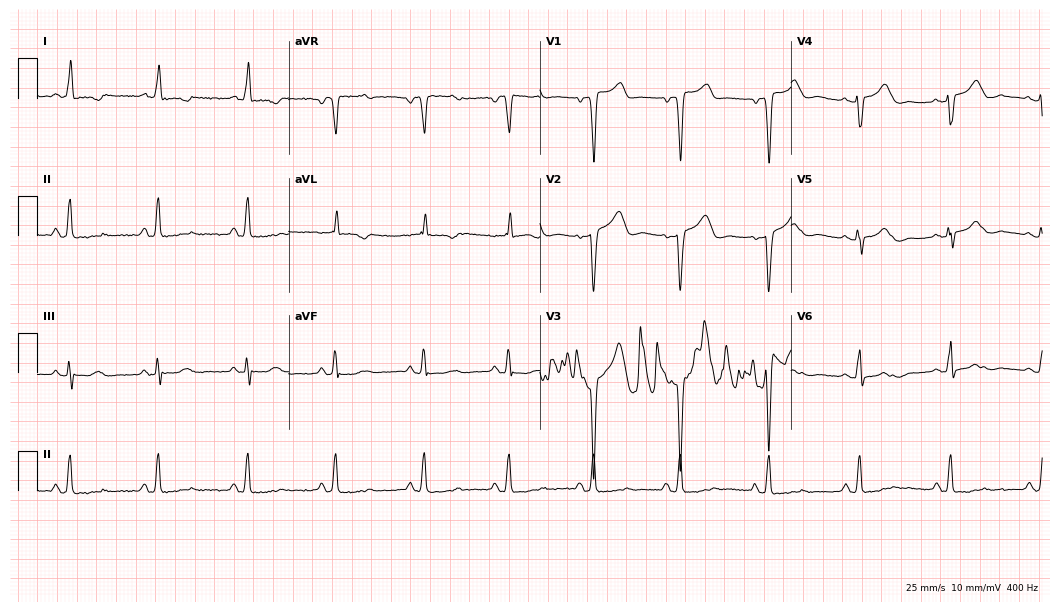
Standard 12-lead ECG recorded from a female, 78 years old. None of these six findings is recorded: first-degree AV block, right bundle branch block, left bundle branch block, sinus bradycardia, atrial fibrillation, sinus tachycardia.